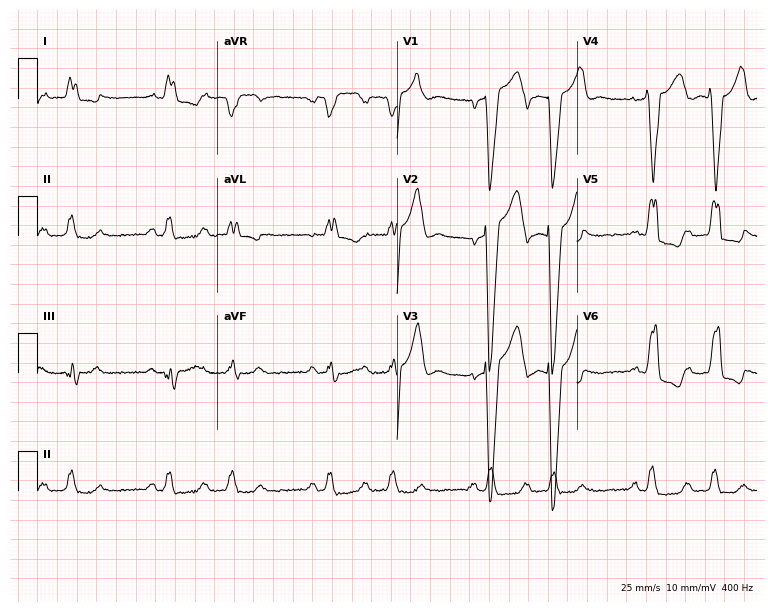
ECG — a 66-year-old male. Findings include left bundle branch block, atrial fibrillation.